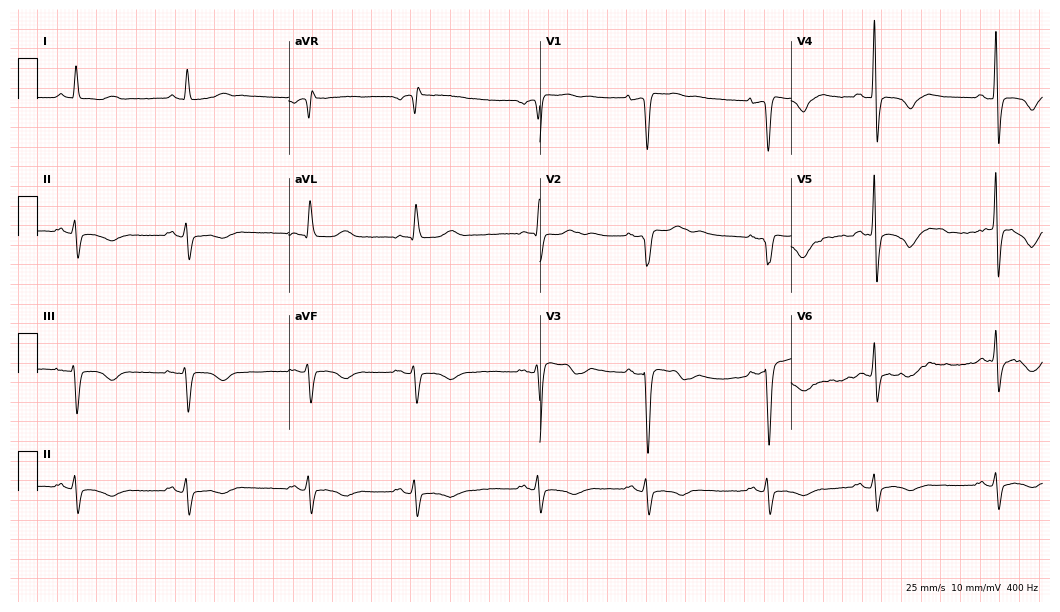
ECG — a male patient, 85 years old. Screened for six findings — first-degree AV block, right bundle branch block, left bundle branch block, sinus bradycardia, atrial fibrillation, sinus tachycardia — none is recorded. Other findings, if any, are not listed.